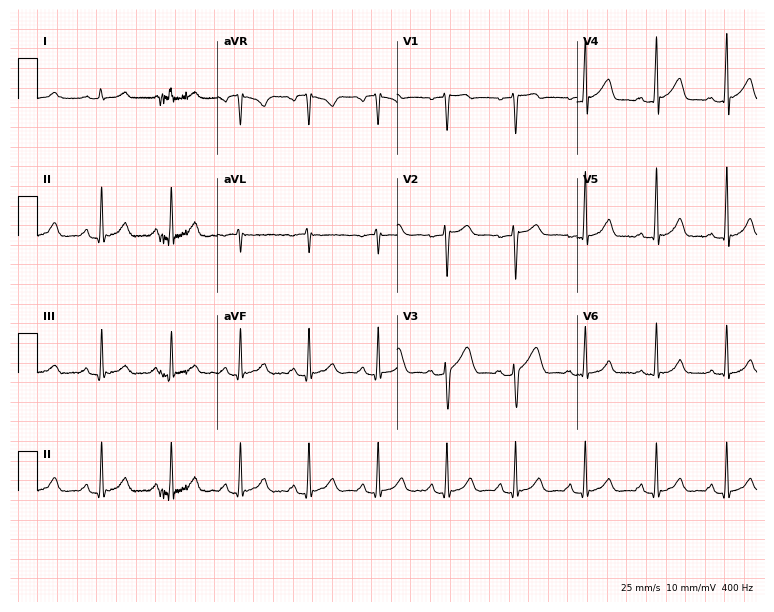
Standard 12-lead ECG recorded from a male patient, 22 years old (7.3-second recording at 400 Hz). Read as a normal ECG.